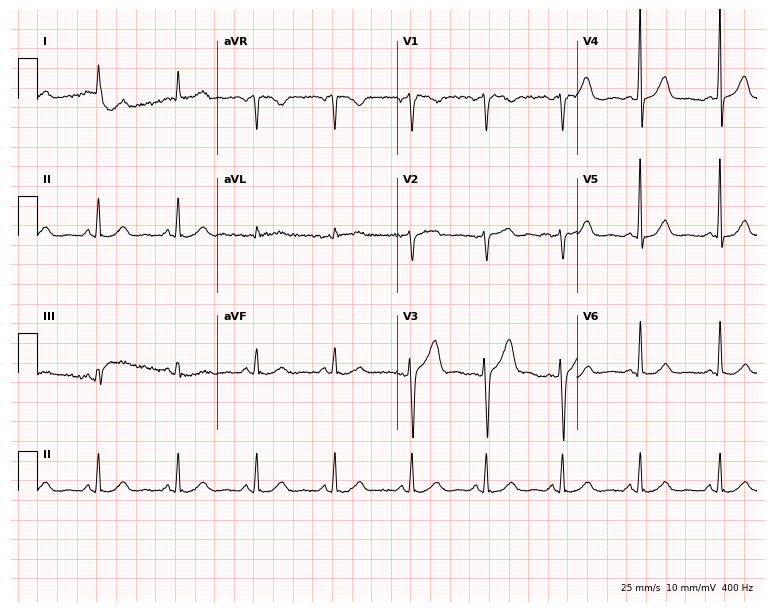
ECG — a 46-year-old male. Labelled as a normal ECG.